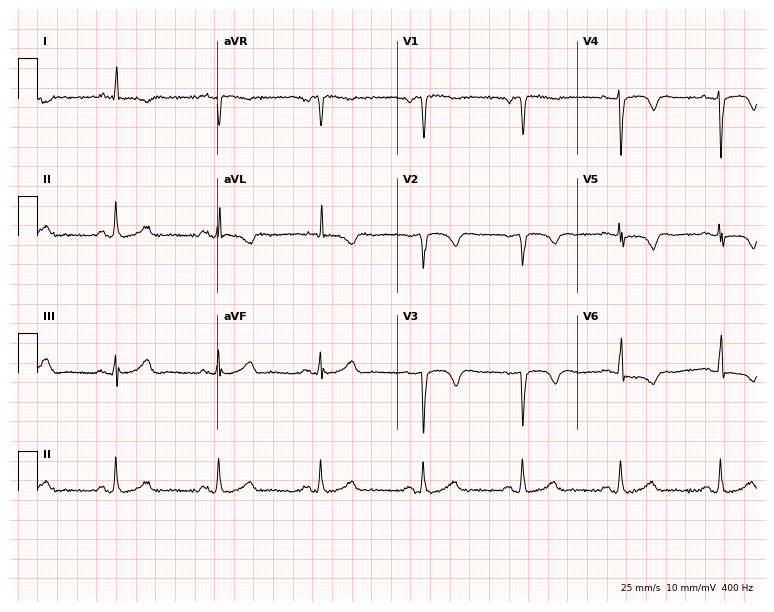
Resting 12-lead electrocardiogram (7.3-second recording at 400 Hz). Patient: a male, 67 years old. None of these six findings is recorded: first-degree AV block, right bundle branch block, left bundle branch block, sinus bradycardia, atrial fibrillation, sinus tachycardia.